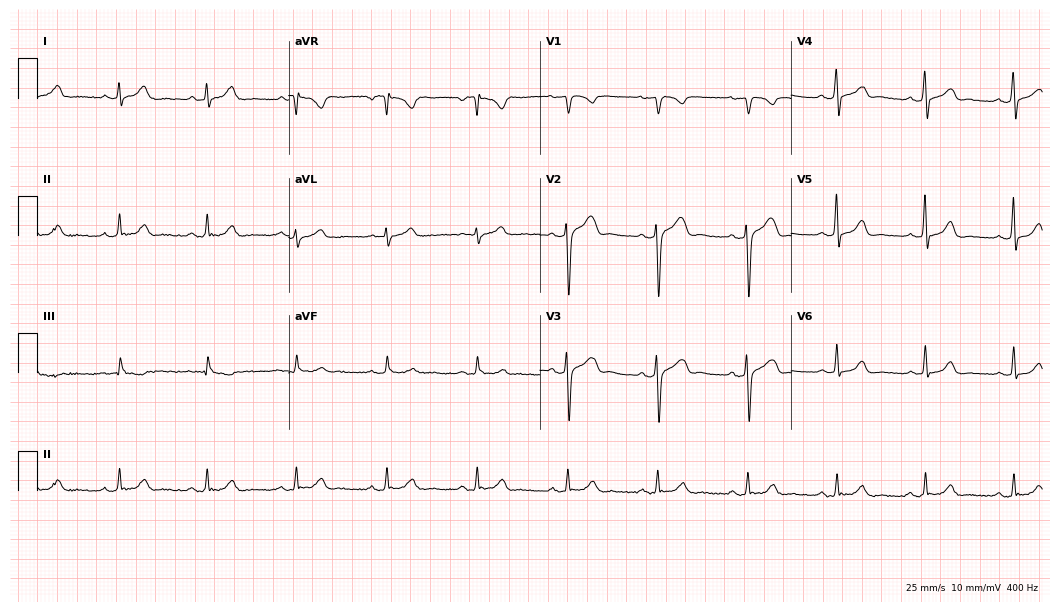
ECG (10.2-second recording at 400 Hz) — a 53-year-old male patient. Labelled as a normal ECG.